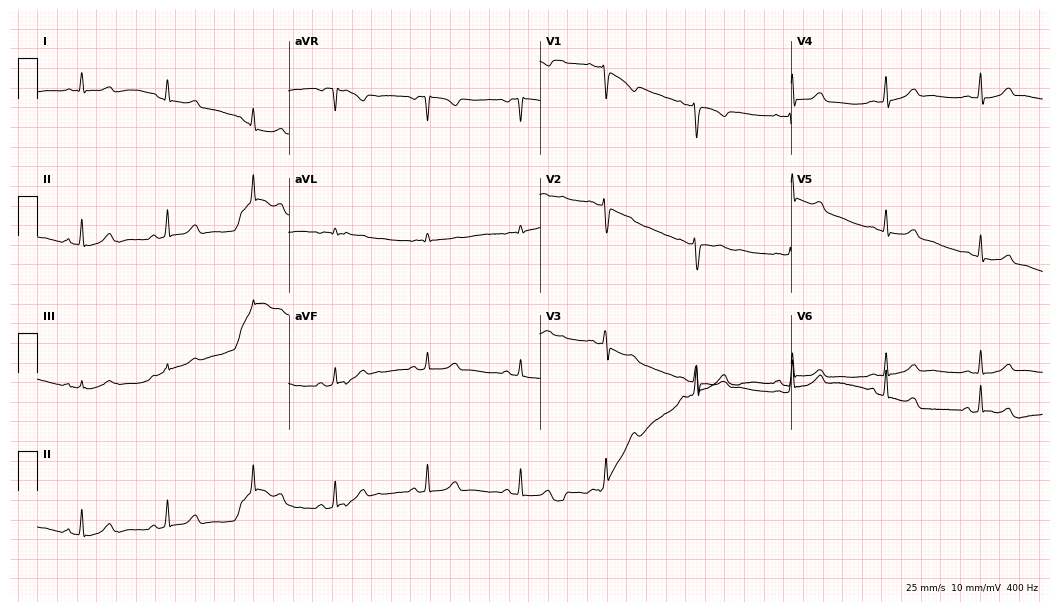
12-lead ECG (10.2-second recording at 400 Hz) from a 23-year-old female. Screened for six findings — first-degree AV block, right bundle branch block, left bundle branch block, sinus bradycardia, atrial fibrillation, sinus tachycardia — none is recorded. Only these six findings were labelled.